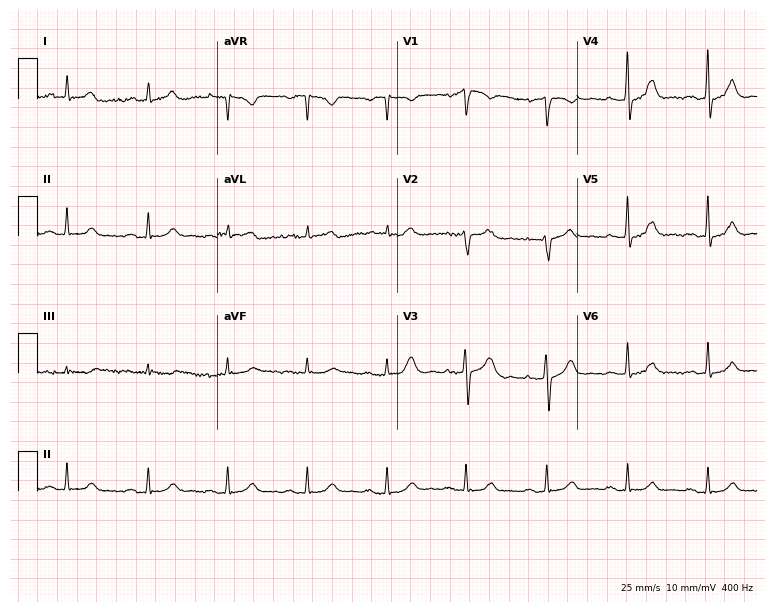
Standard 12-lead ECG recorded from a woman, 57 years old. Read as a normal ECG.